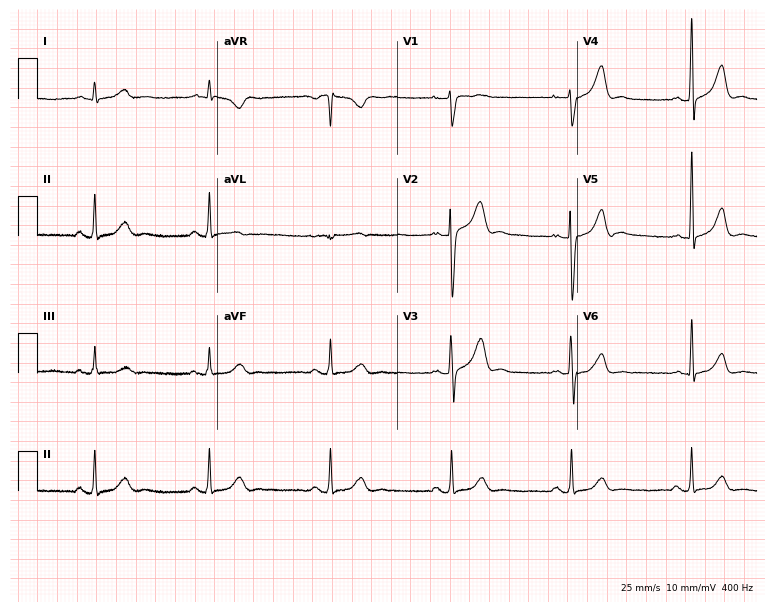
12-lead ECG from a 35-year-old male (7.3-second recording at 400 Hz). Shows sinus bradycardia (a sinus rate of 50 beats per minute or less).